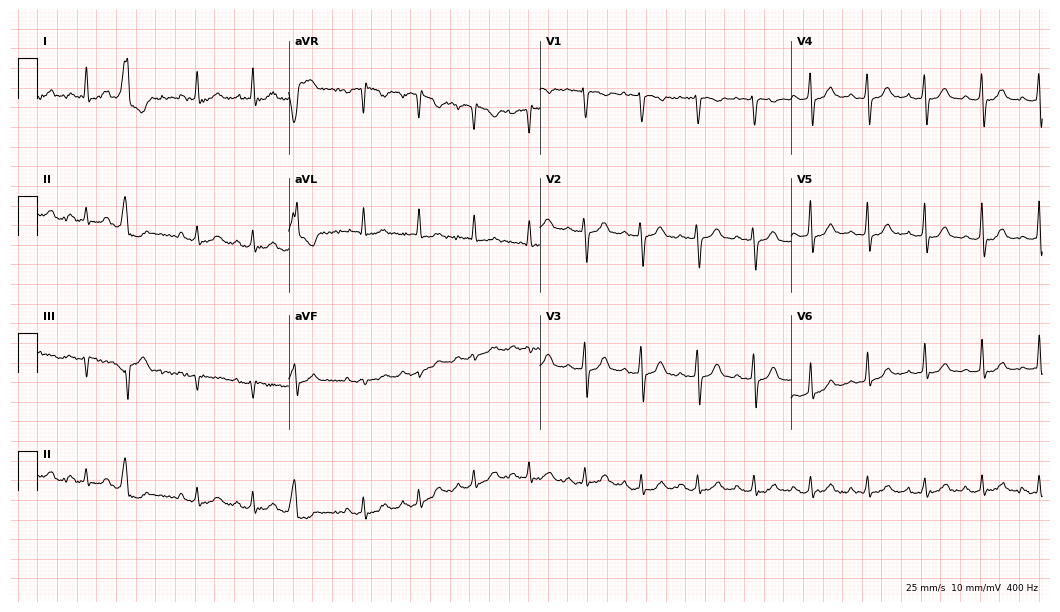
12-lead ECG (10.2-second recording at 400 Hz) from a woman, 75 years old. Findings include sinus tachycardia (a sinus rate of 100 beats per minute or more).